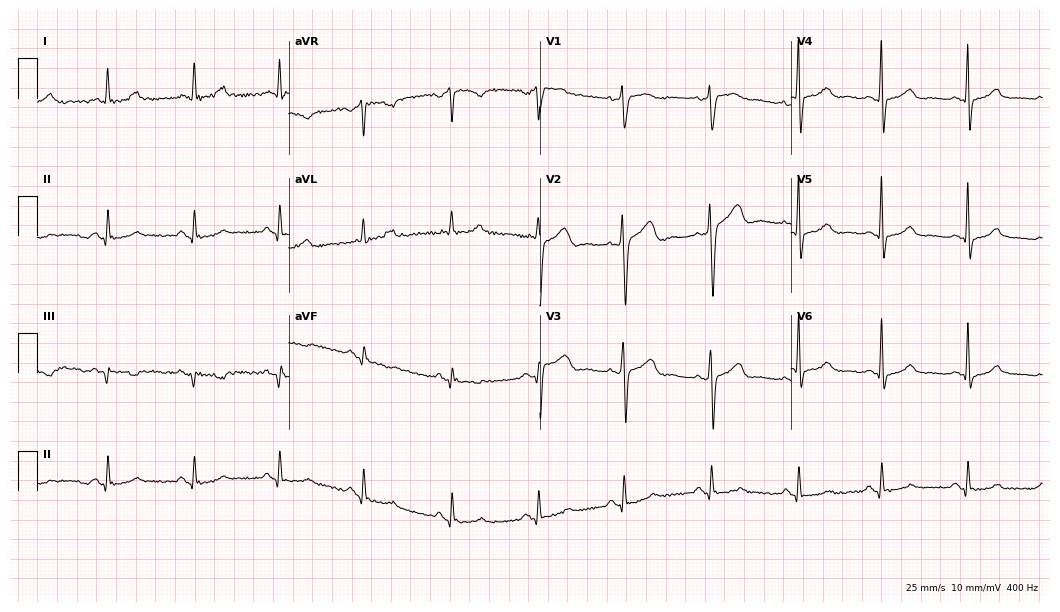
Electrocardiogram (10.2-second recording at 400 Hz), a 58-year-old female. Of the six screened findings (first-degree AV block, right bundle branch block, left bundle branch block, sinus bradycardia, atrial fibrillation, sinus tachycardia), none is recorded. Findings outside these six are not listed.